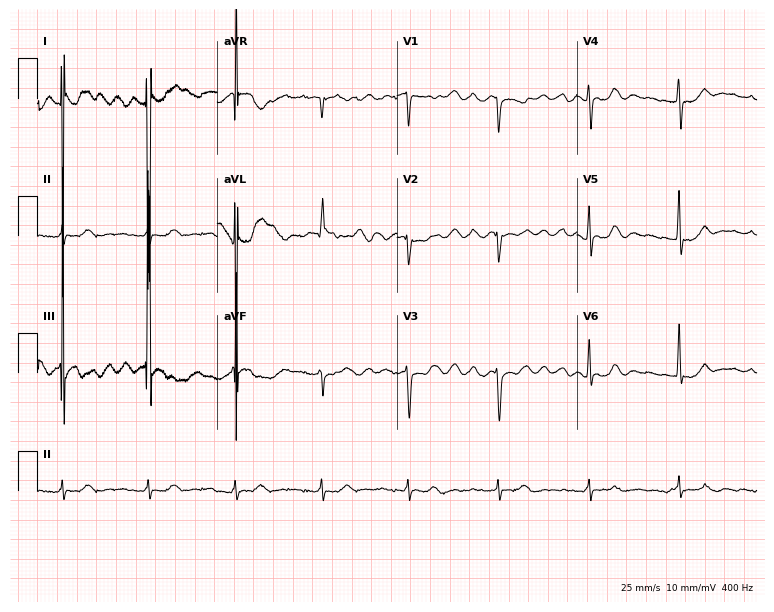
12-lead ECG from a woman, 85 years old. No first-degree AV block, right bundle branch block, left bundle branch block, sinus bradycardia, atrial fibrillation or sinus tachycardia recorded for this tracing. Only these six findings were labelled.